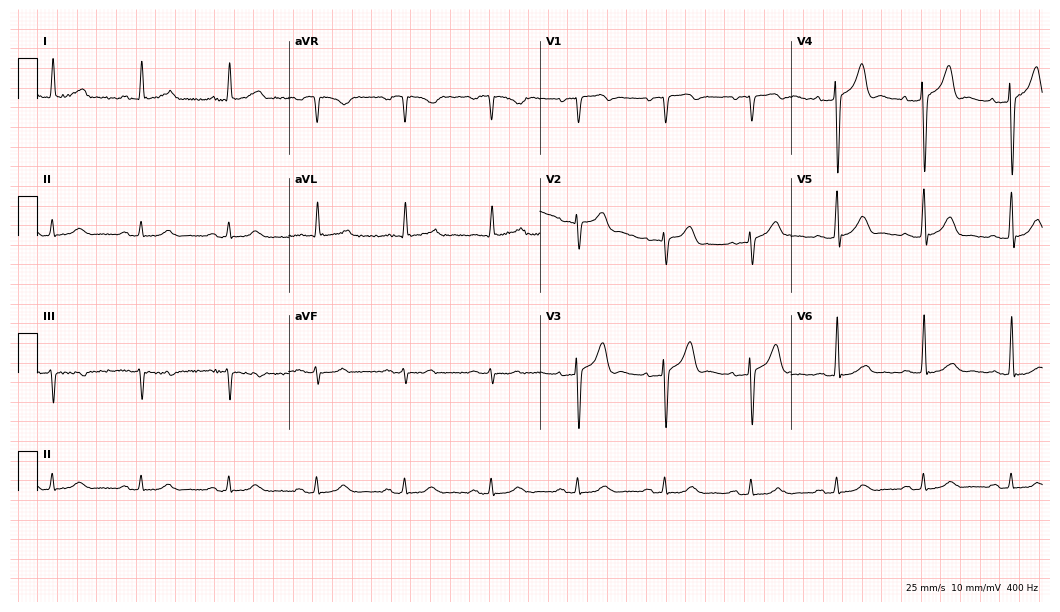
12-lead ECG (10.2-second recording at 400 Hz) from a 79-year-old male patient. Screened for six findings — first-degree AV block, right bundle branch block, left bundle branch block, sinus bradycardia, atrial fibrillation, sinus tachycardia — none is recorded. Other findings, if any, are not listed.